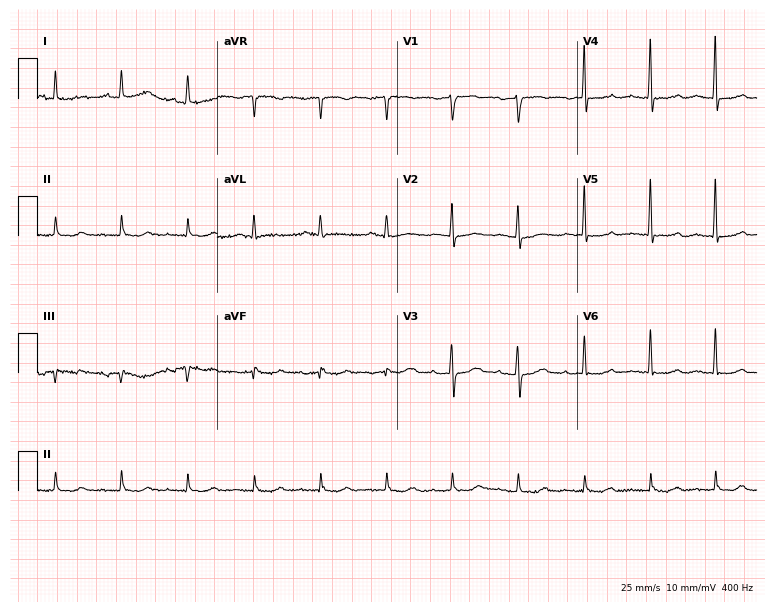
12-lead ECG from a female, 81 years old (7.3-second recording at 400 Hz). No first-degree AV block, right bundle branch block (RBBB), left bundle branch block (LBBB), sinus bradycardia, atrial fibrillation (AF) or sinus tachycardia recorded for this tracing. Findings outside these six are not listed.